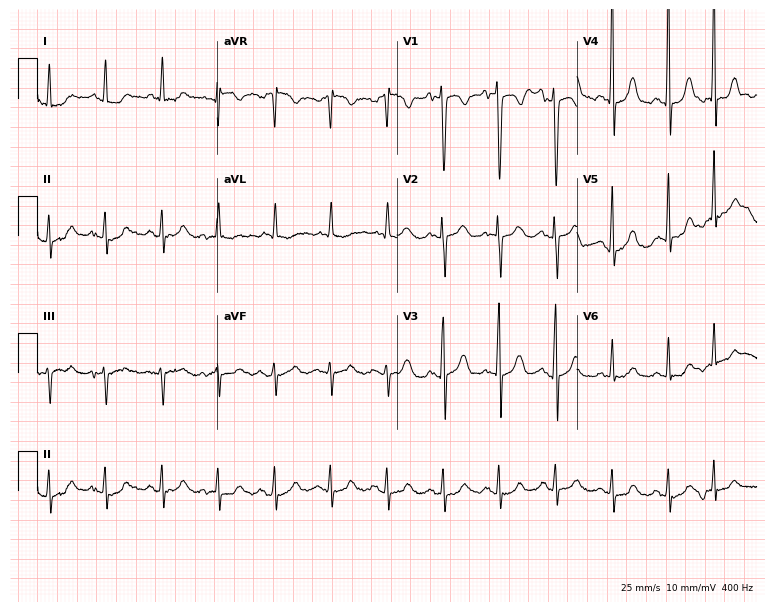
Electrocardiogram, a female, 82 years old. Interpretation includes sinus tachycardia (a sinus rate of 100 beats per minute or more).